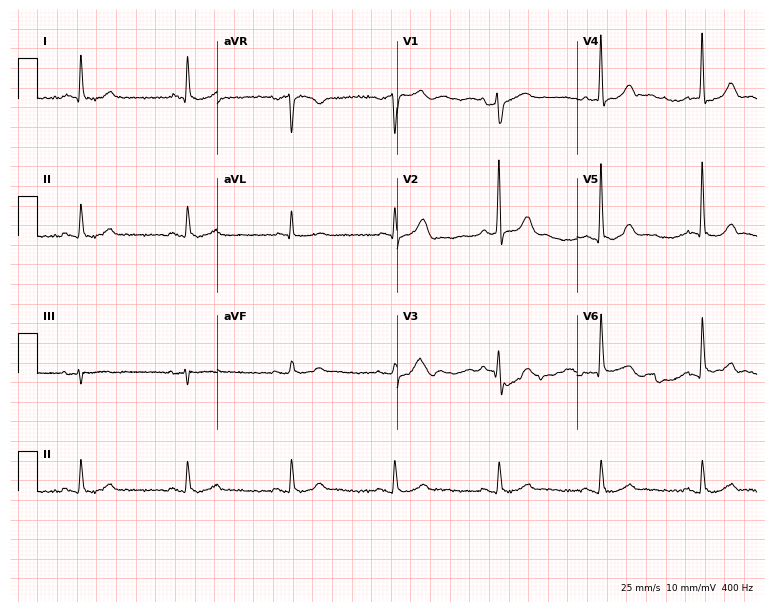
12-lead ECG (7.3-second recording at 400 Hz) from a male, 73 years old. Labelled as a normal ECG.